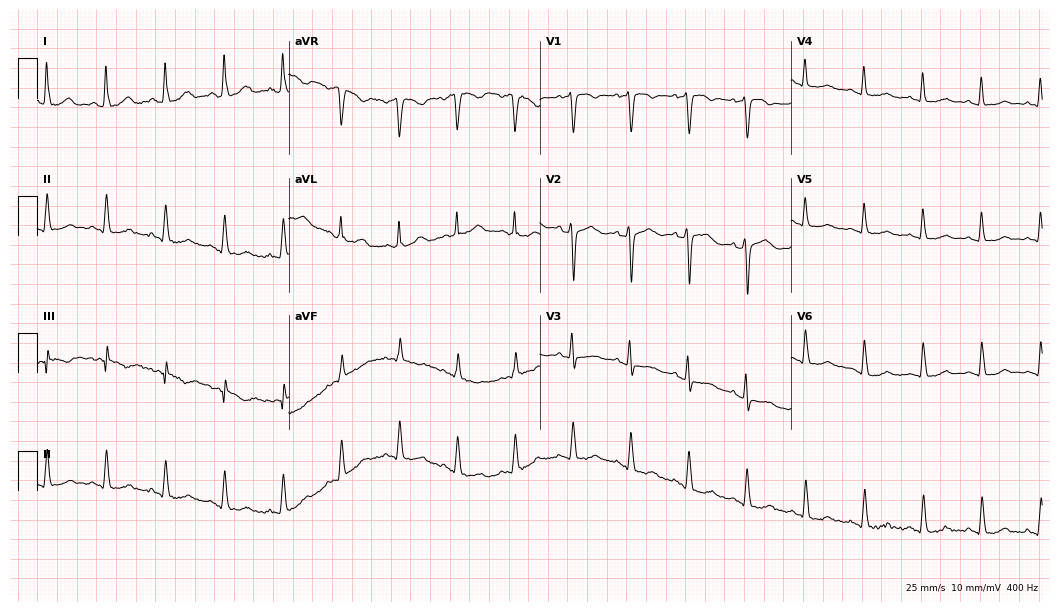
12-lead ECG from a woman, 56 years old. Screened for six findings — first-degree AV block, right bundle branch block, left bundle branch block, sinus bradycardia, atrial fibrillation, sinus tachycardia — none is recorded.